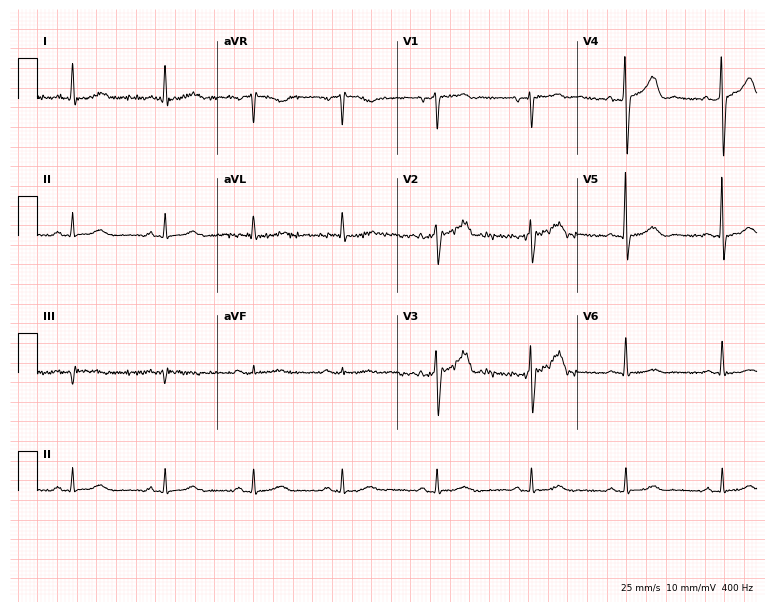
Resting 12-lead electrocardiogram. Patient: a female, 68 years old. None of these six findings is recorded: first-degree AV block, right bundle branch block, left bundle branch block, sinus bradycardia, atrial fibrillation, sinus tachycardia.